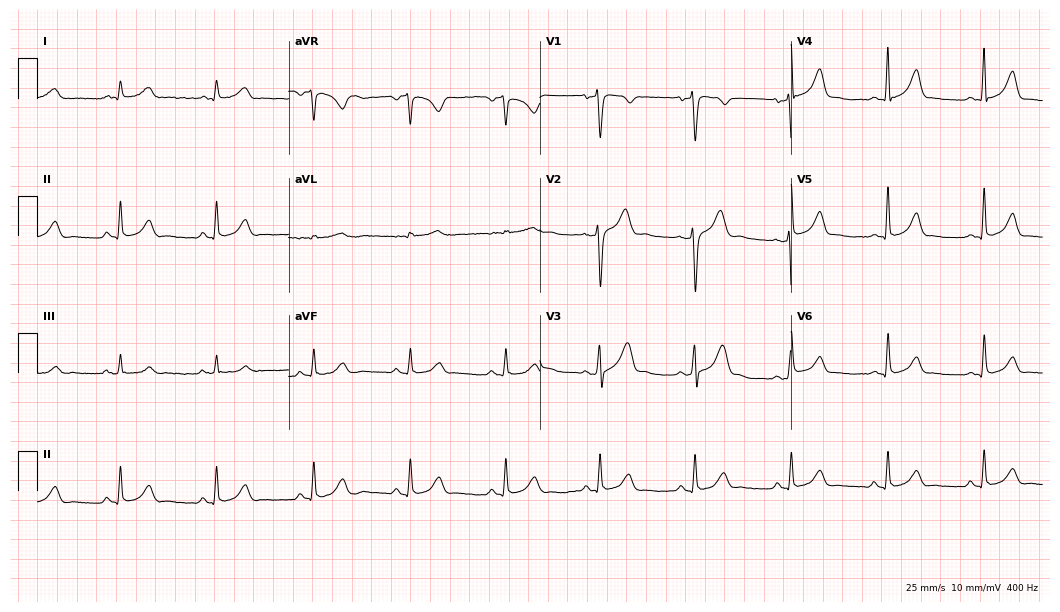
12-lead ECG (10.2-second recording at 400 Hz) from a man, 35 years old. Screened for six findings — first-degree AV block, right bundle branch block, left bundle branch block, sinus bradycardia, atrial fibrillation, sinus tachycardia — none is recorded. Findings outside these six are not listed.